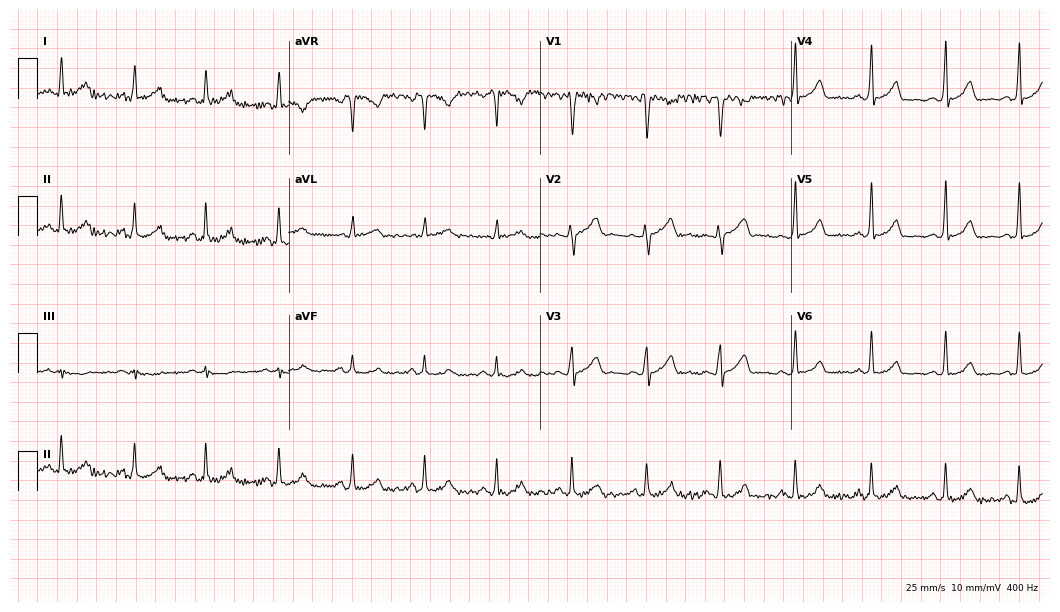
12-lead ECG from a 20-year-old female. Labelled as a normal ECG.